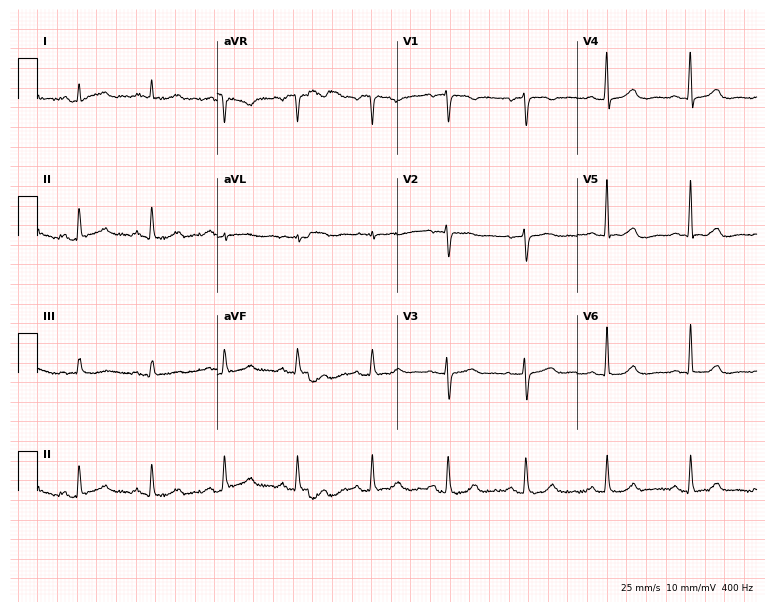
12-lead ECG from a female patient, 69 years old. Screened for six findings — first-degree AV block, right bundle branch block, left bundle branch block, sinus bradycardia, atrial fibrillation, sinus tachycardia — none is recorded. Only these six findings were labelled.